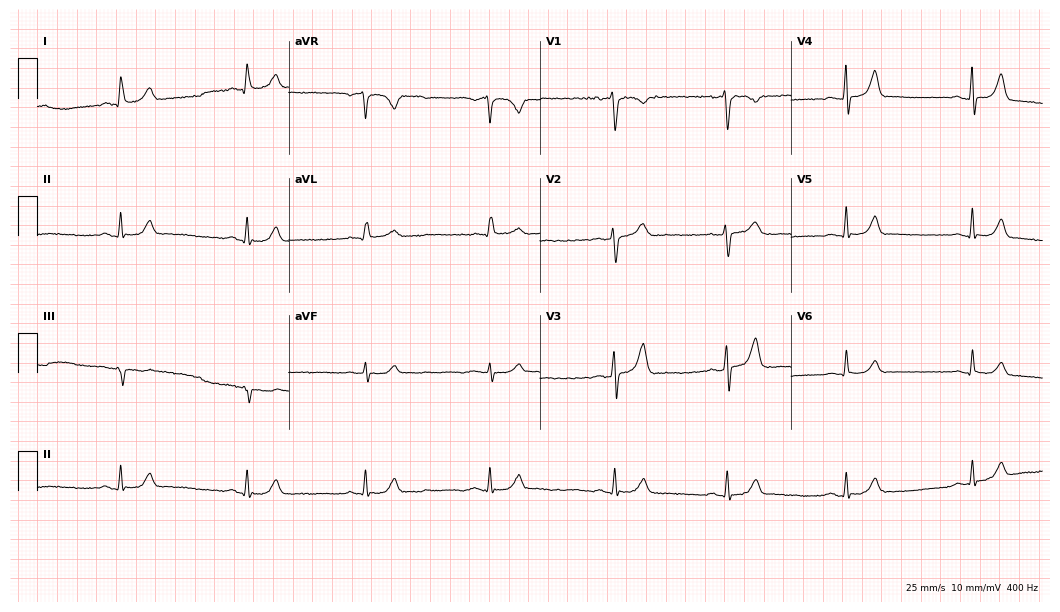
12-lead ECG (10.2-second recording at 400 Hz) from a woman, 52 years old. Findings include sinus bradycardia (a sinus rate of 50 beats per minute or less).